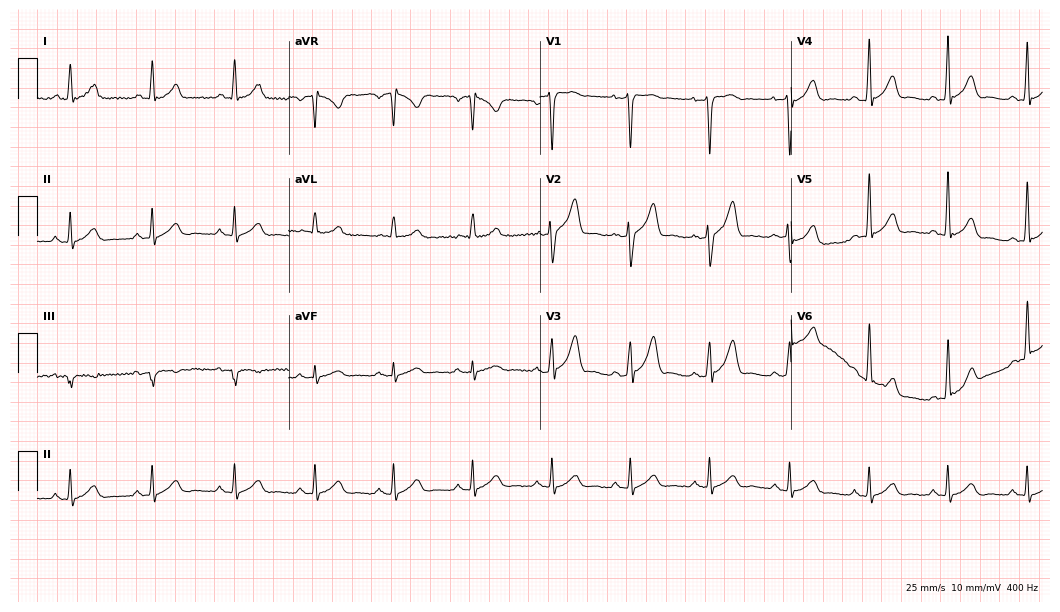
ECG (10.2-second recording at 400 Hz) — a 50-year-old male patient. Screened for six findings — first-degree AV block, right bundle branch block (RBBB), left bundle branch block (LBBB), sinus bradycardia, atrial fibrillation (AF), sinus tachycardia — none is recorded. Findings outside these six are not listed.